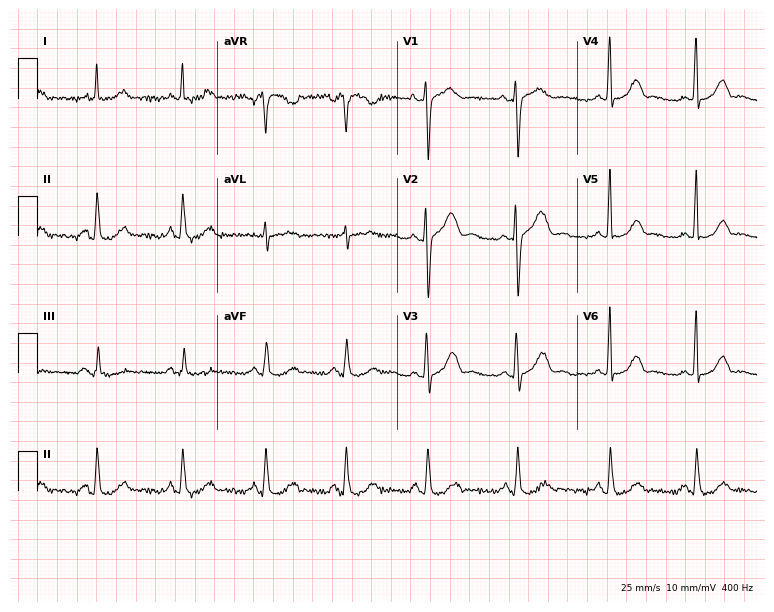
12-lead ECG from a 49-year-old female patient. No first-degree AV block, right bundle branch block, left bundle branch block, sinus bradycardia, atrial fibrillation or sinus tachycardia recorded for this tracing. Other findings, if any, are not listed.